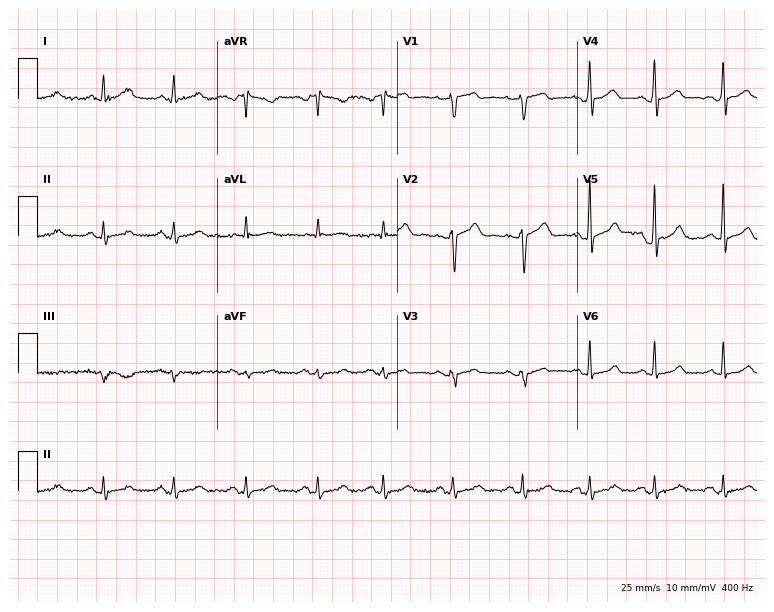
12-lead ECG from a 48-year-old female patient. Recorded interpretation: within normal limits.